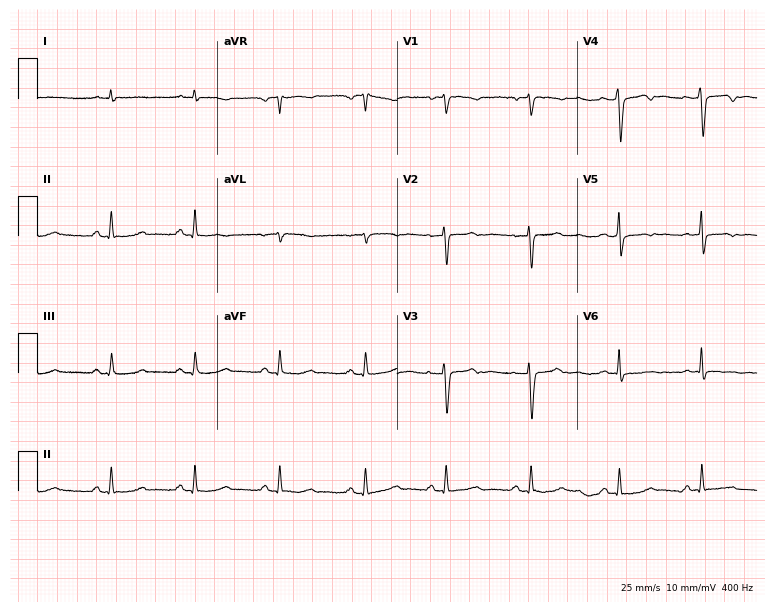
12-lead ECG from a 31-year-old female patient. No first-degree AV block, right bundle branch block, left bundle branch block, sinus bradycardia, atrial fibrillation or sinus tachycardia recorded for this tracing.